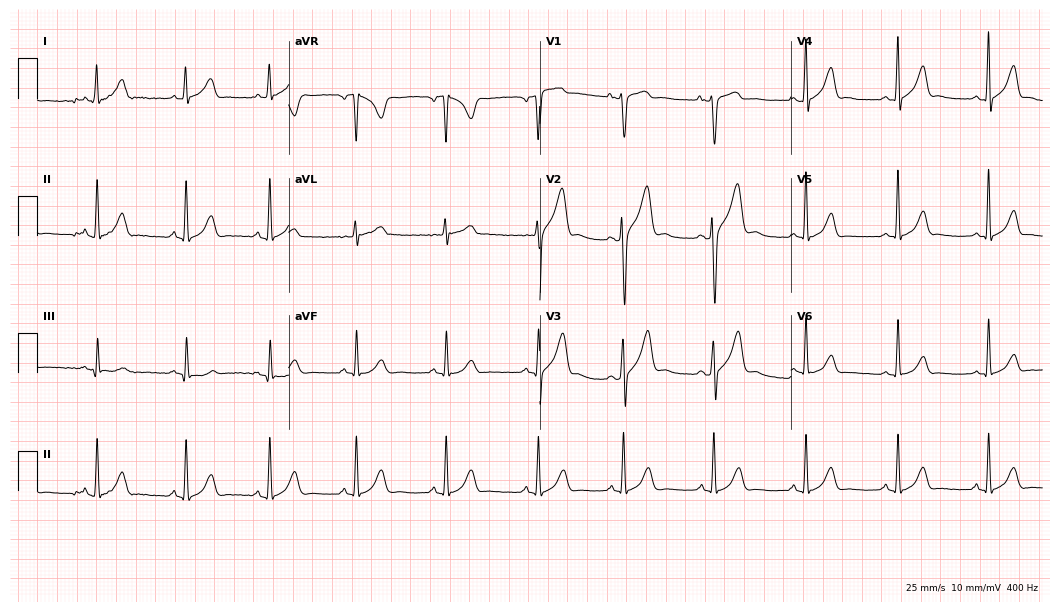
Standard 12-lead ECG recorded from a male, 28 years old (10.2-second recording at 400 Hz). None of these six findings is recorded: first-degree AV block, right bundle branch block (RBBB), left bundle branch block (LBBB), sinus bradycardia, atrial fibrillation (AF), sinus tachycardia. Findings outside these six are not listed.